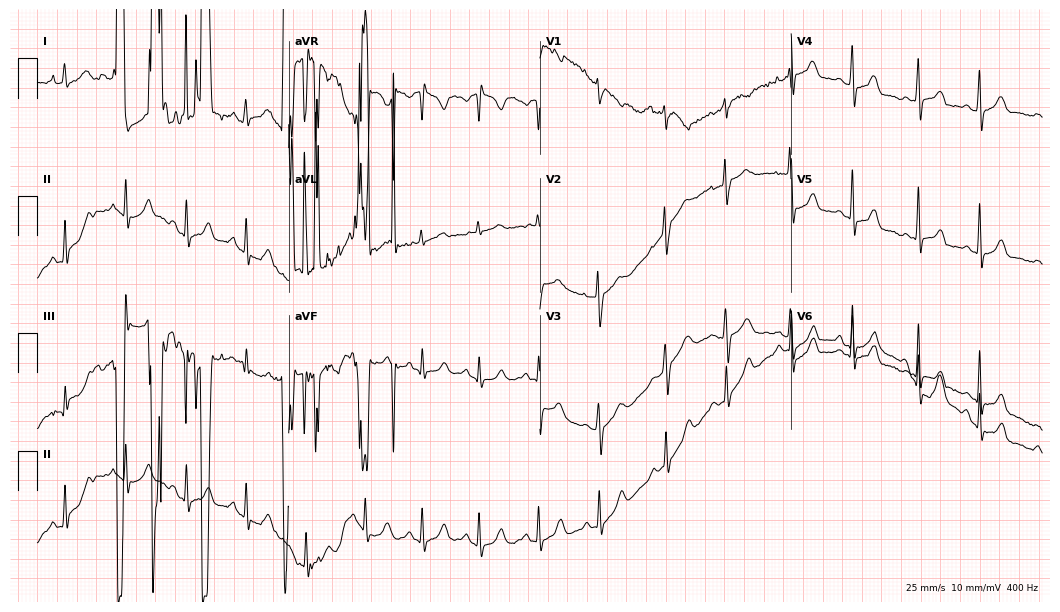
ECG (10.2-second recording at 400 Hz) — a female patient, 27 years old. Screened for six findings — first-degree AV block, right bundle branch block, left bundle branch block, sinus bradycardia, atrial fibrillation, sinus tachycardia — none is recorded. Other findings, if any, are not listed.